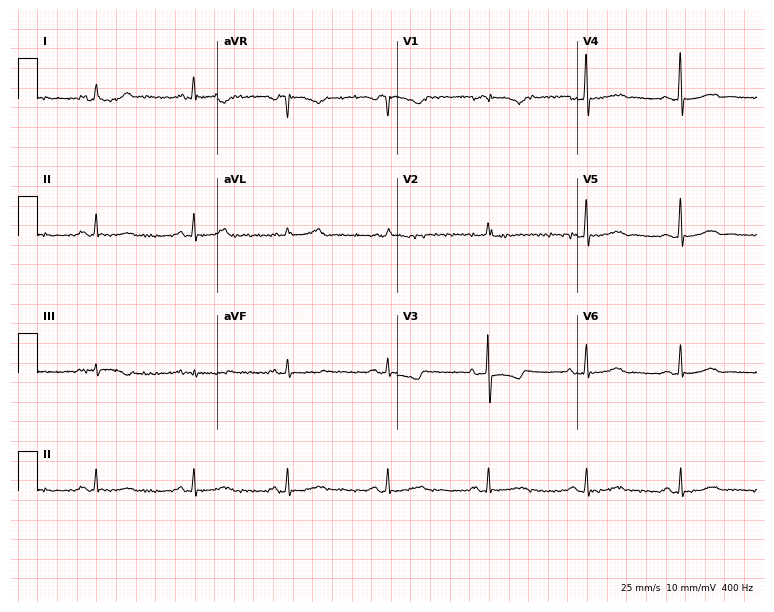
Electrocardiogram, an 83-year-old female patient. Of the six screened findings (first-degree AV block, right bundle branch block, left bundle branch block, sinus bradycardia, atrial fibrillation, sinus tachycardia), none is recorded. Findings outside these six are not listed.